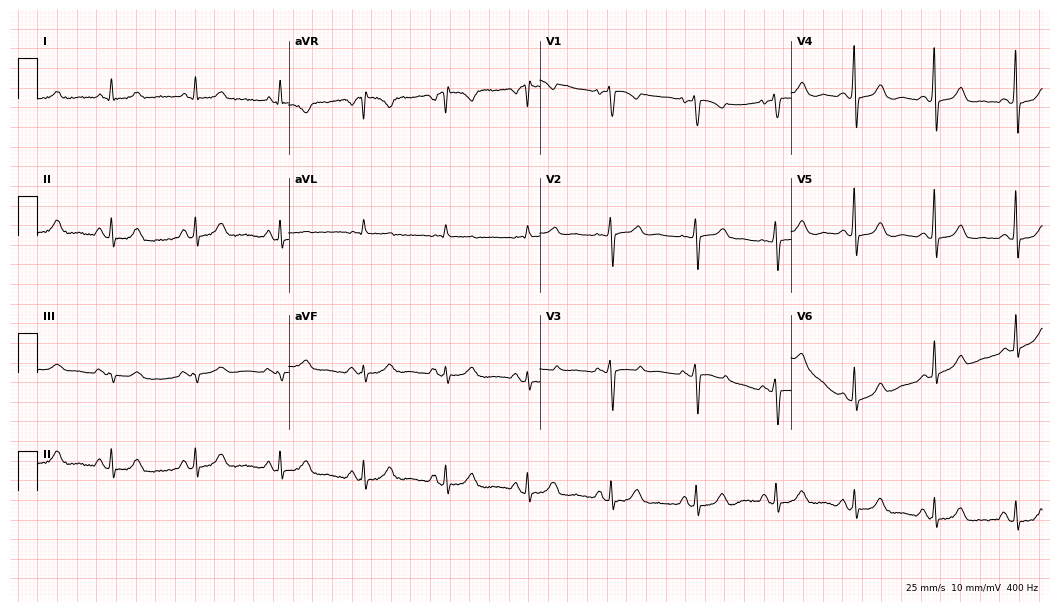
ECG — a female patient, 52 years old. Labelled as a normal ECG.